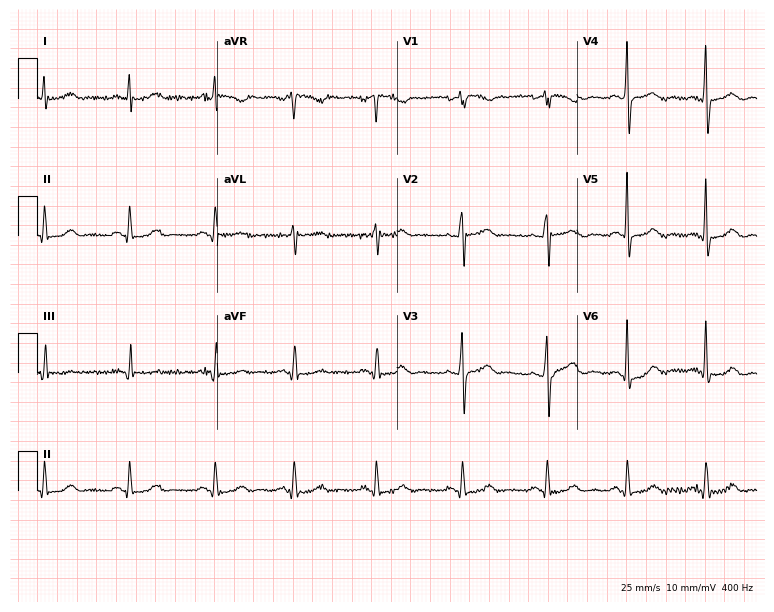
Standard 12-lead ECG recorded from a 71-year-old female patient. Read as a normal ECG.